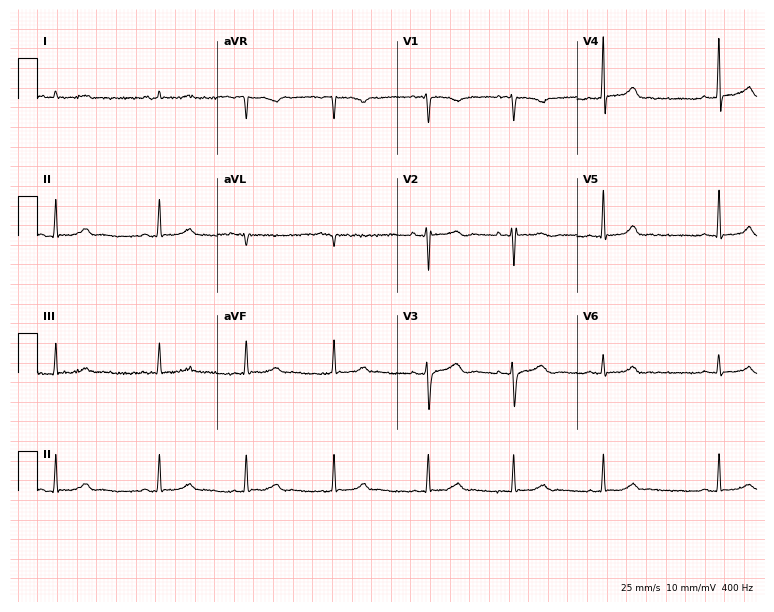
12-lead ECG (7.3-second recording at 400 Hz) from a 20-year-old female. Screened for six findings — first-degree AV block, right bundle branch block, left bundle branch block, sinus bradycardia, atrial fibrillation, sinus tachycardia — none is recorded. Findings outside these six are not listed.